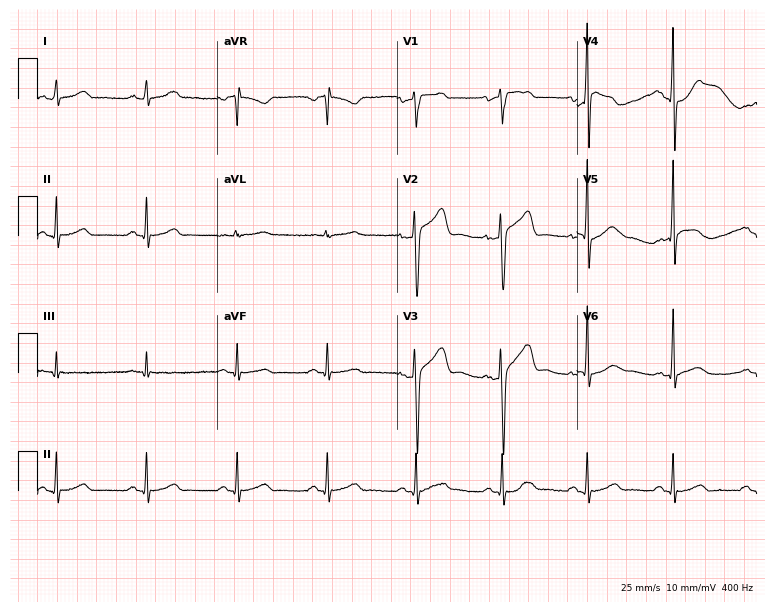
12-lead ECG from a 46-year-old male patient (7.3-second recording at 400 Hz). No first-degree AV block, right bundle branch block, left bundle branch block, sinus bradycardia, atrial fibrillation or sinus tachycardia recorded for this tracing. Findings outside these six are not listed.